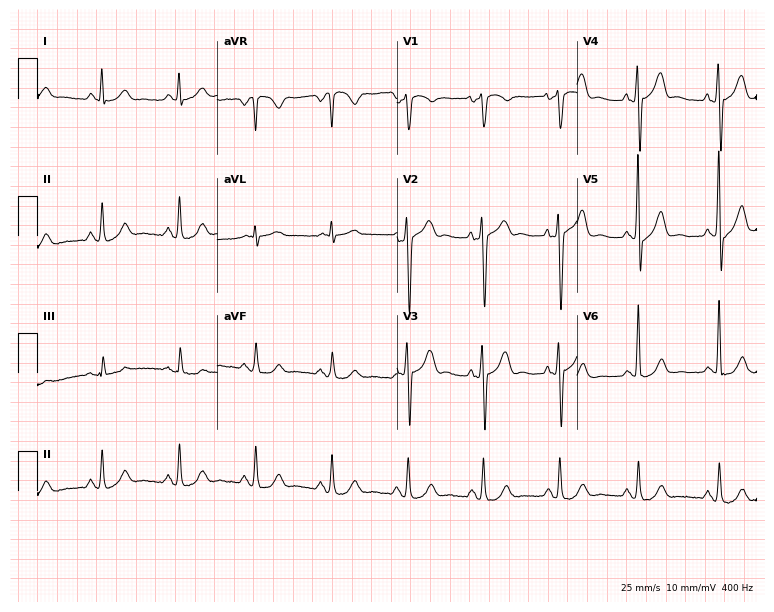
ECG (7.3-second recording at 400 Hz) — a male, 65 years old. Screened for six findings — first-degree AV block, right bundle branch block, left bundle branch block, sinus bradycardia, atrial fibrillation, sinus tachycardia — none is recorded.